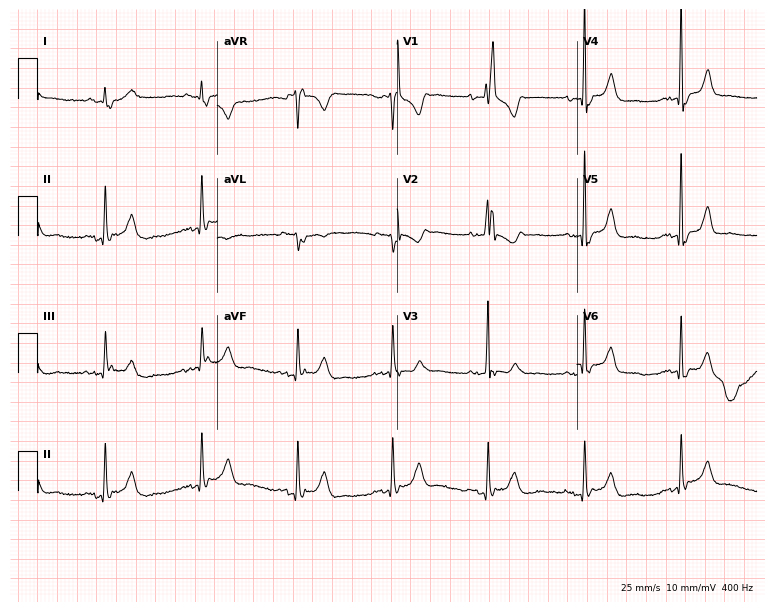
12-lead ECG from a 73-year-old woman. Findings include right bundle branch block.